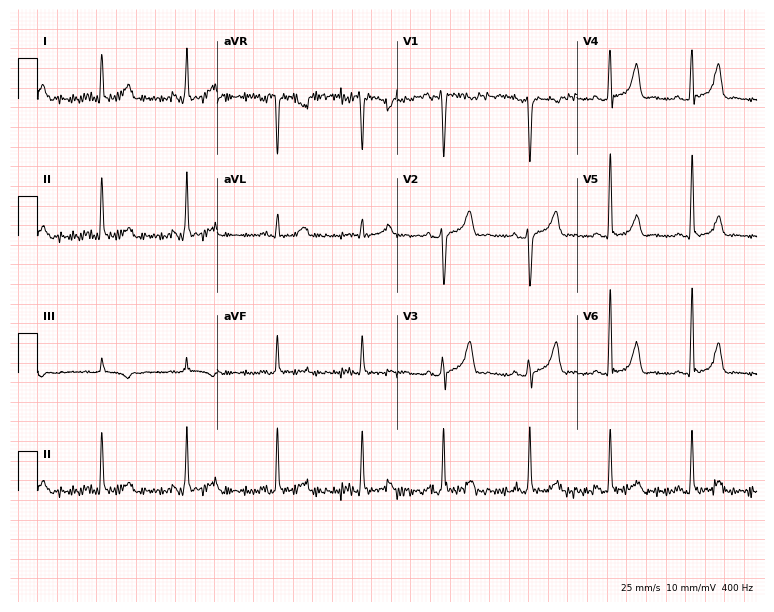
12-lead ECG from a 31-year-old woman. No first-degree AV block, right bundle branch block, left bundle branch block, sinus bradycardia, atrial fibrillation or sinus tachycardia recorded for this tracing. Findings outside these six are not listed.